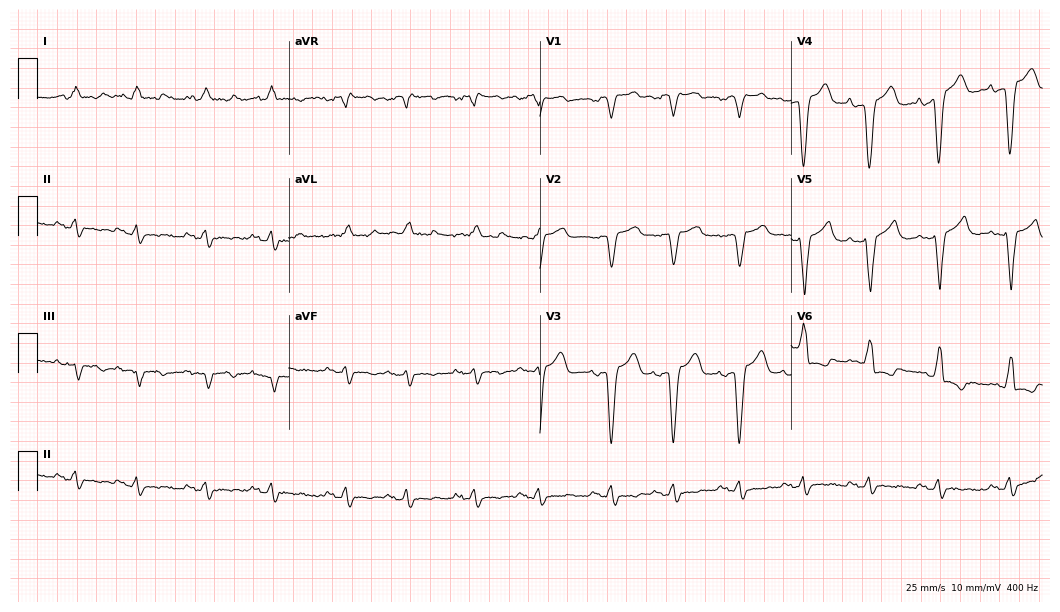
Resting 12-lead electrocardiogram (10.2-second recording at 400 Hz). Patient: a 71-year-old male. The tracing shows left bundle branch block.